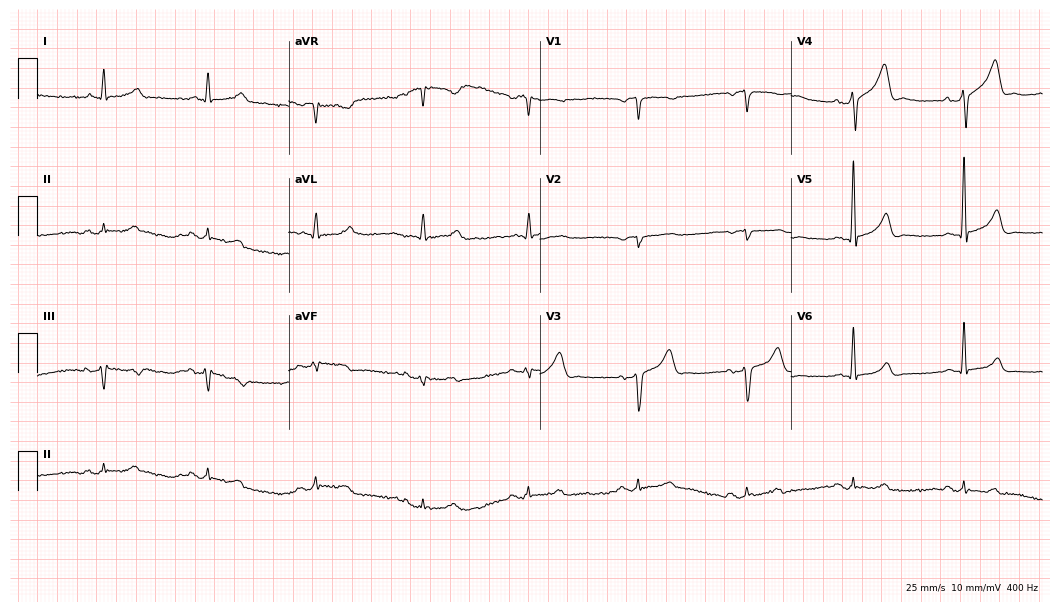
Standard 12-lead ECG recorded from a 71-year-old male patient (10.2-second recording at 400 Hz). None of these six findings is recorded: first-degree AV block, right bundle branch block, left bundle branch block, sinus bradycardia, atrial fibrillation, sinus tachycardia. Only these six findings were labelled.